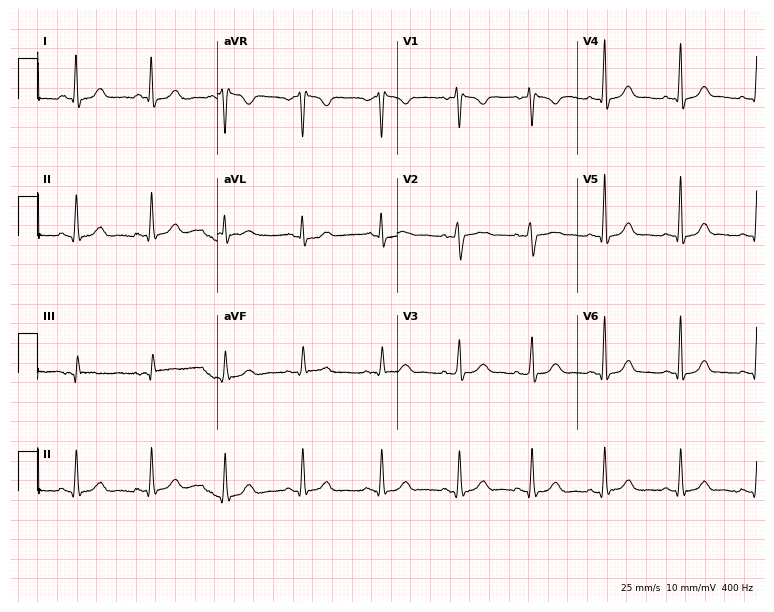
12-lead ECG from a female, 37 years old (7.3-second recording at 400 Hz). No first-degree AV block, right bundle branch block, left bundle branch block, sinus bradycardia, atrial fibrillation or sinus tachycardia recorded for this tracing. Other findings, if any, are not listed.